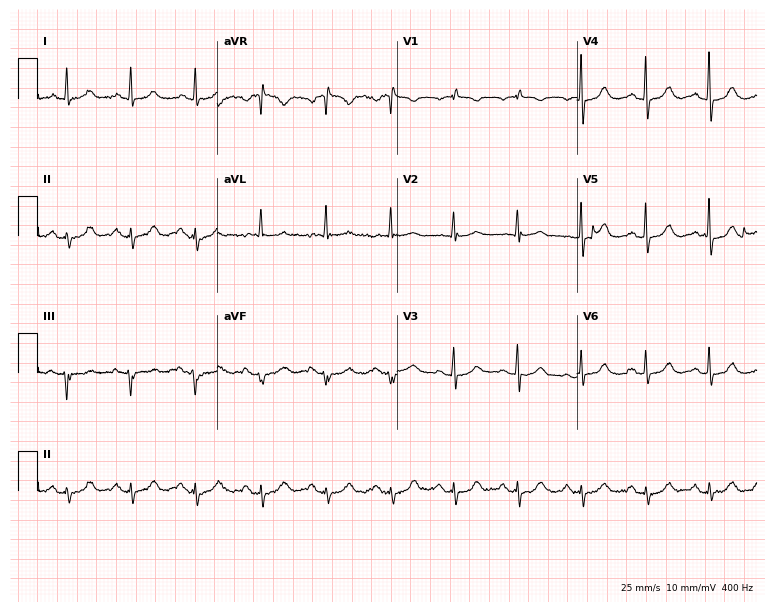
Resting 12-lead electrocardiogram. Patient: a 72-year-old female. None of these six findings is recorded: first-degree AV block, right bundle branch block (RBBB), left bundle branch block (LBBB), sinus bradycardia, atrial fibrillation (AF), sinus tachycardia. Other findings, if any, are not listed.